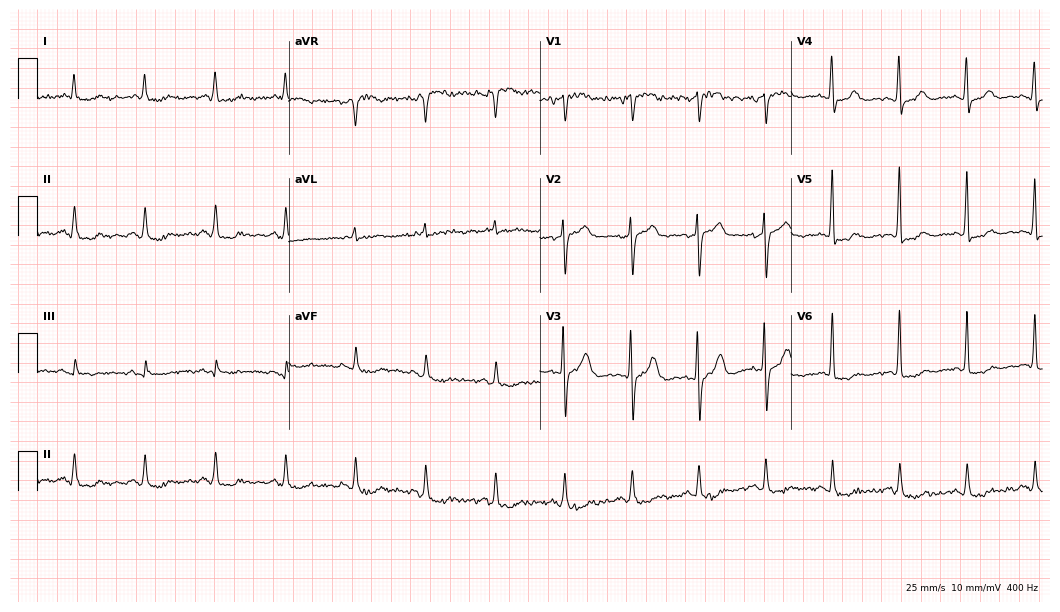
Standard 12-lead ECG recorded from an 83-year-old female patient. None of these six findings is recorded: first-degree AV block, right bundle branch block, left bundle branch block, sinus bradycardia, atrial fibrillation, sinus tachycardia. Findings outside these six are not listed.